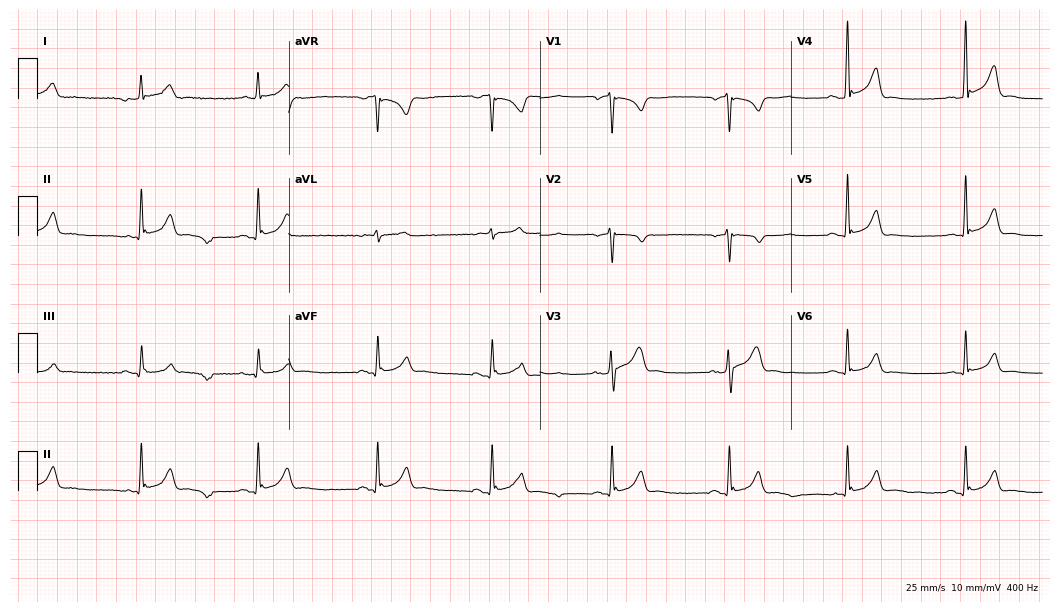
Standard 12-lead ECG recorded from a male patient, 36 years old. None of these six findings is recorded: first-degree AV block, right bundle branch block, left bundle branch block, sinus bradycardia, atrial fibrillation, sinus tachycardia. Other findings, if any, are not listed.